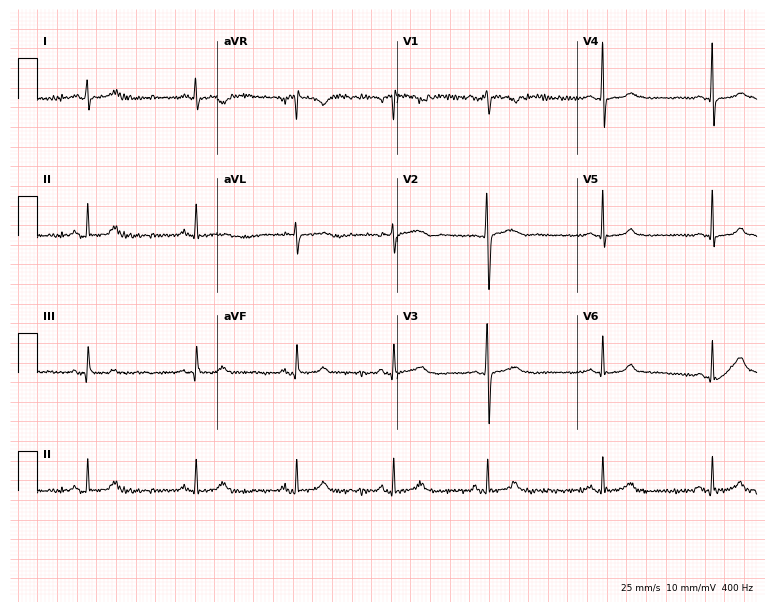
Resting 12-lead electrocardiogram. Patient: a female, 24 years old. Read as a normal ECG.